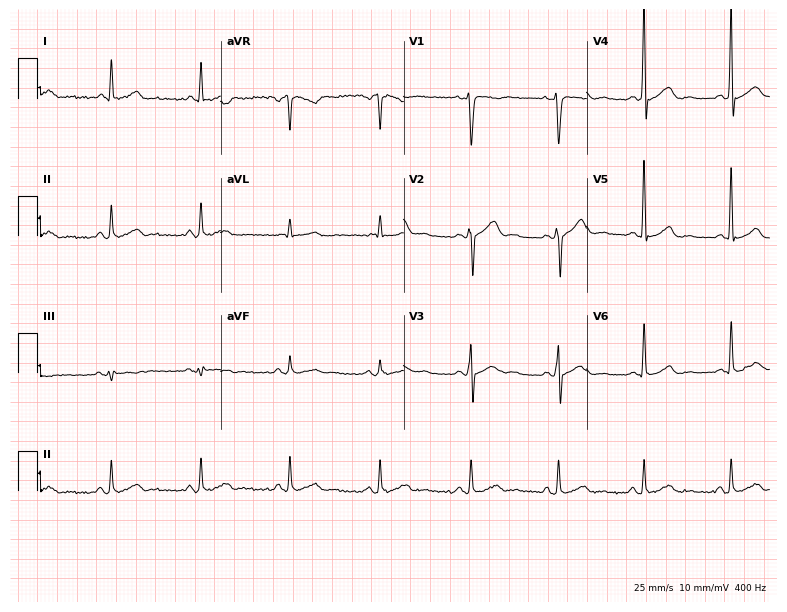
Resting 12-lead electrocardiogram. Patient: a male, 38 years old. Read as a normal ECG.